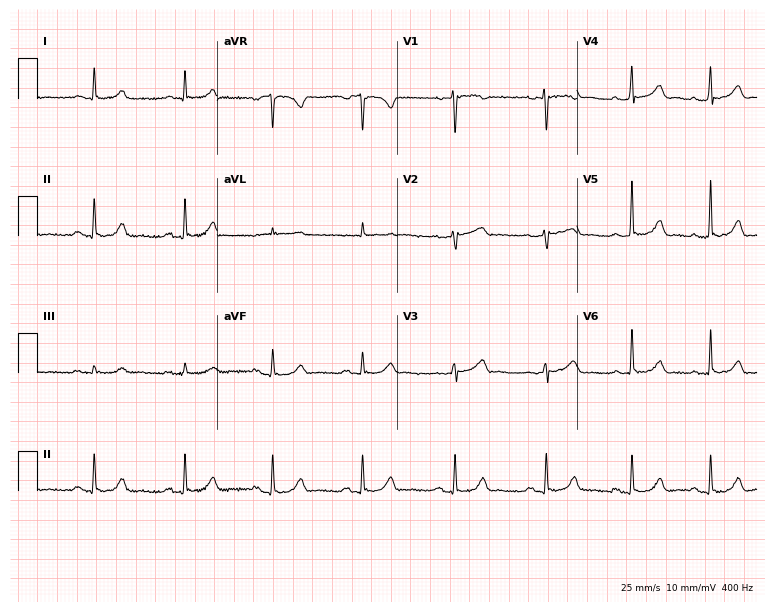
Standard 12-lead ECG recorded from a woman, 57 years old. Read as a normal ECG.